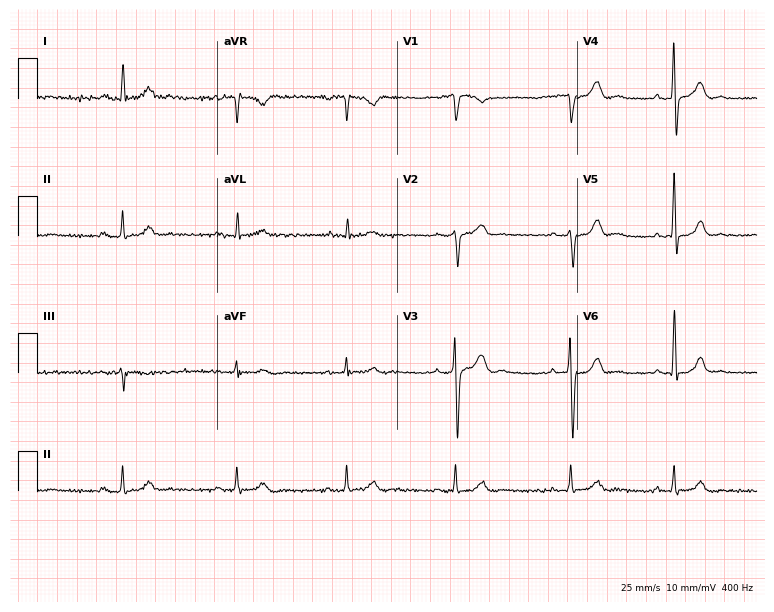
Standard 12-lead ECG recorded from a male, 52 years old. Read as a normal ECG.